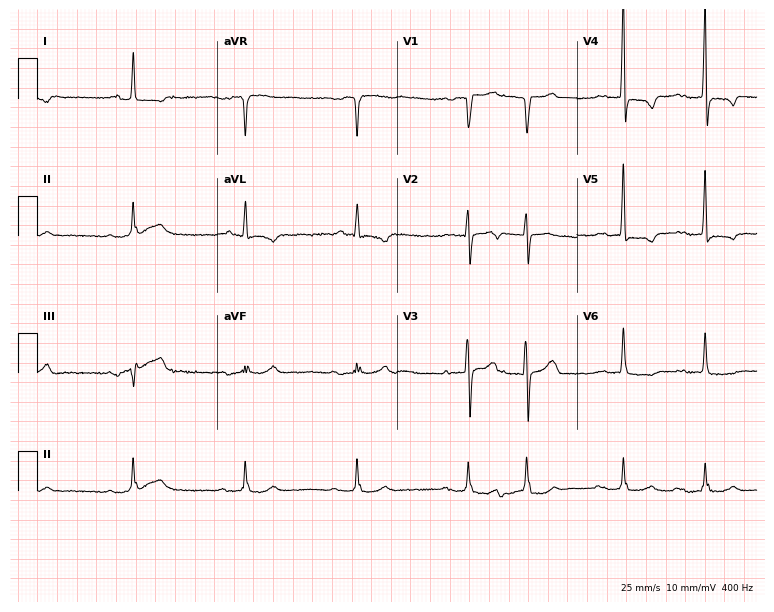
ECG (7.3-second recording at 400 Hz) — a male patient, 82 years old. Findings include atrial fibrillation (AF).